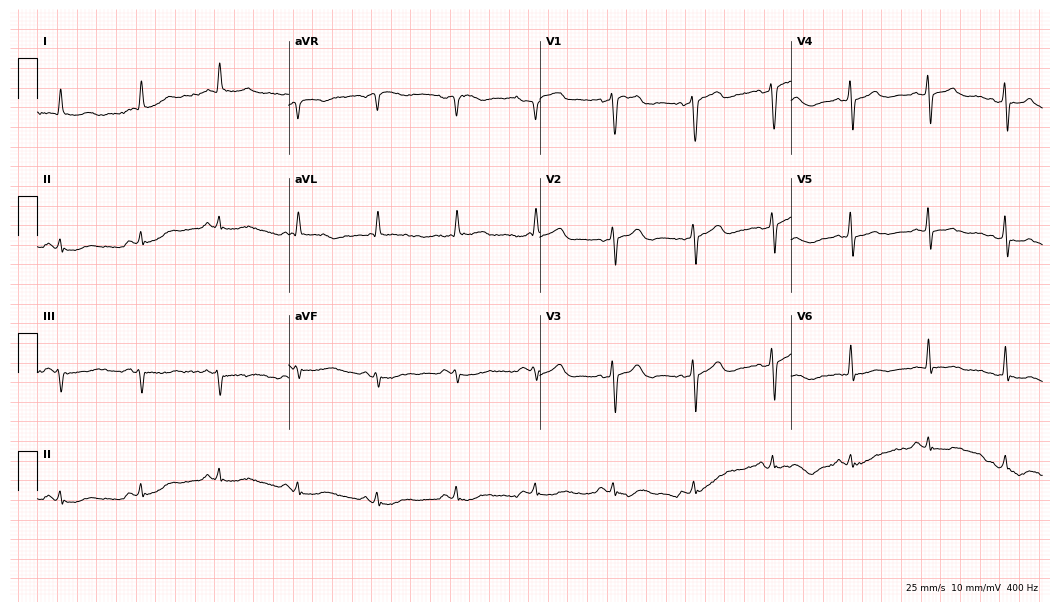
ECG — a male, 65 years old. Labelled as a normal ECG.